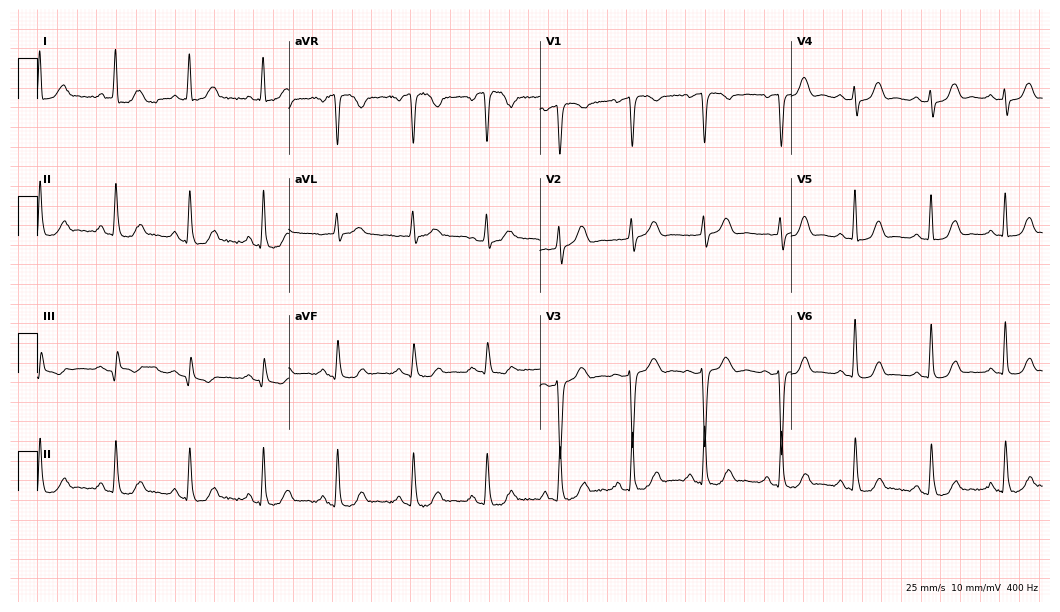
Standard 12-lead ECG recorded from a woman, 80 years old (10.2-second recording at 400 Hz). Read as a normal ECG.